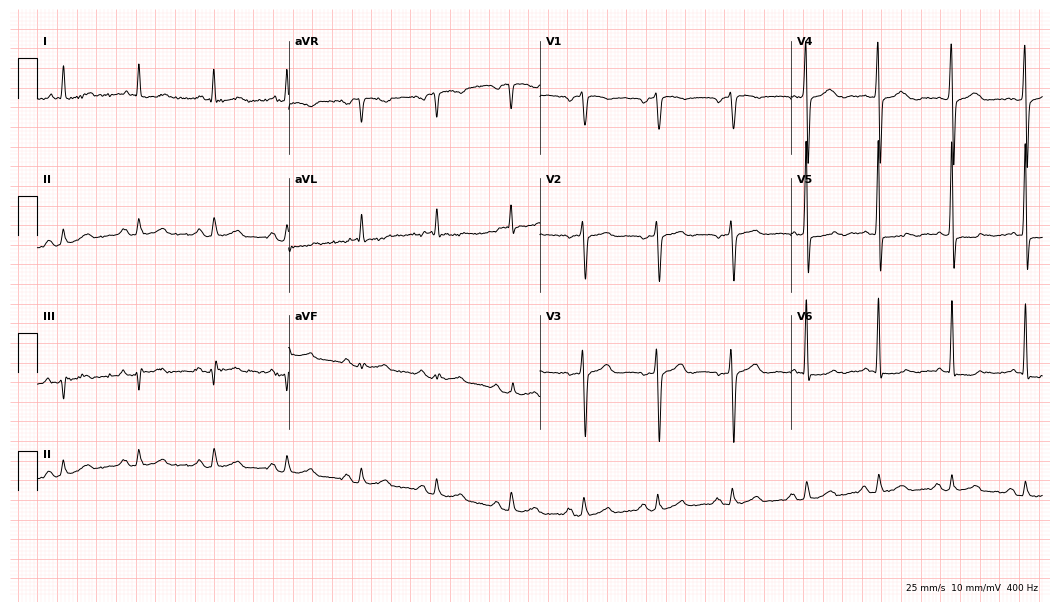
12-lead ECG from a 77-year-old male patient. No first-degree AV block, right bundle branch block, left bundle branch block, sinus bradycardia, atrial fibrillation or sinus tachycardia recorded for this tracing. Only these six findings were labelled.